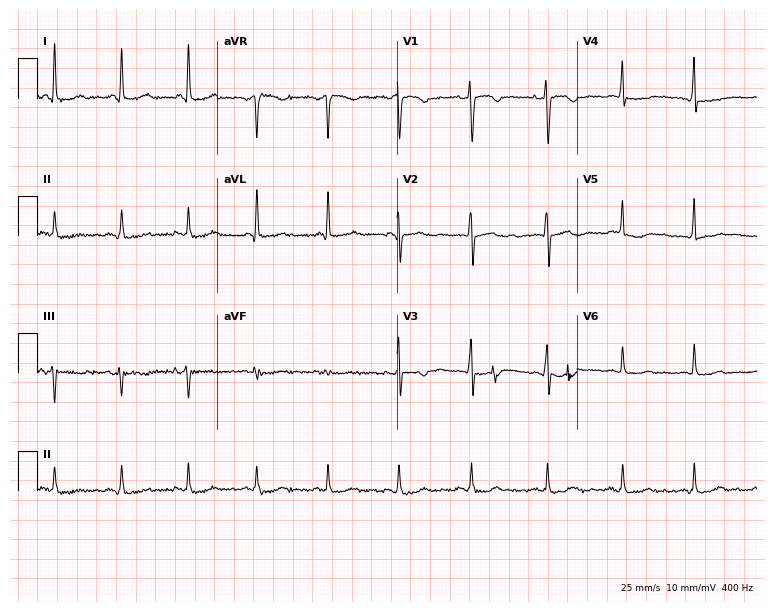
Electrocardiogram (7.3-second recording at 400 Hz), a woman, 42 years old. Overall reading on record: normal ECG.